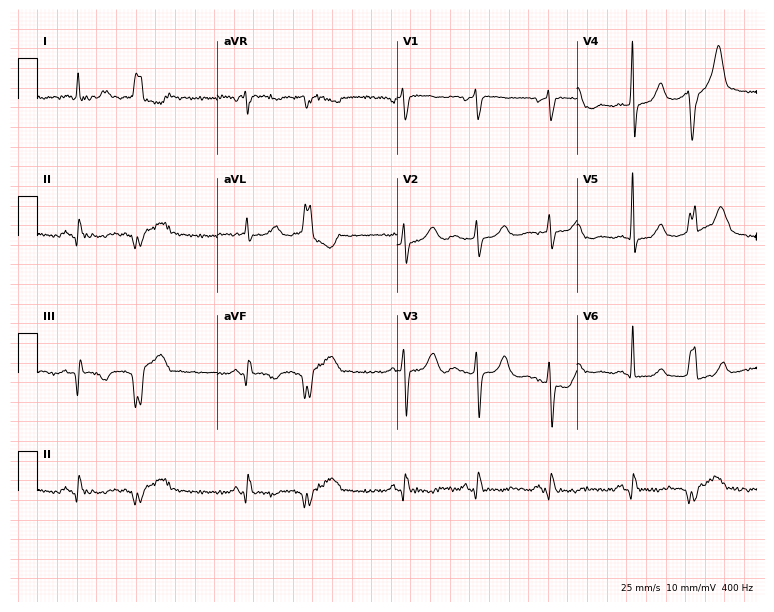
Resting 12-lead electrocardiogram (7.3-second recording at 400 Hz). Patient: a man, 62 years old. None of these six findings is recorded: first-degree AV block, right bundle branch block, left bundle branch block, sinus bradycardia, atrial fibrillation, sinus tachycardia. Other findings, if any, are not listed.